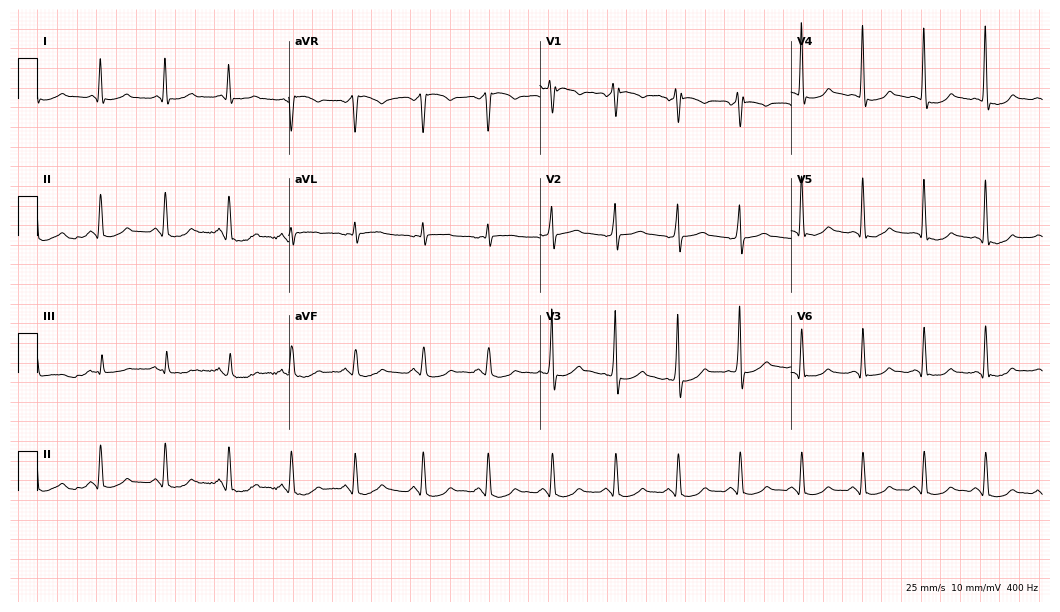
Electrocardiogram (10.2-second recording at 400 Hz), a man, 57 years old. Of the six screened findings (first-degree AV block, right bundle branch block, left bundle branch block, sinus bradycardia, atrial fibrillation, sinus tachycardia), none is recorded. Other findings, if any, are not listed.